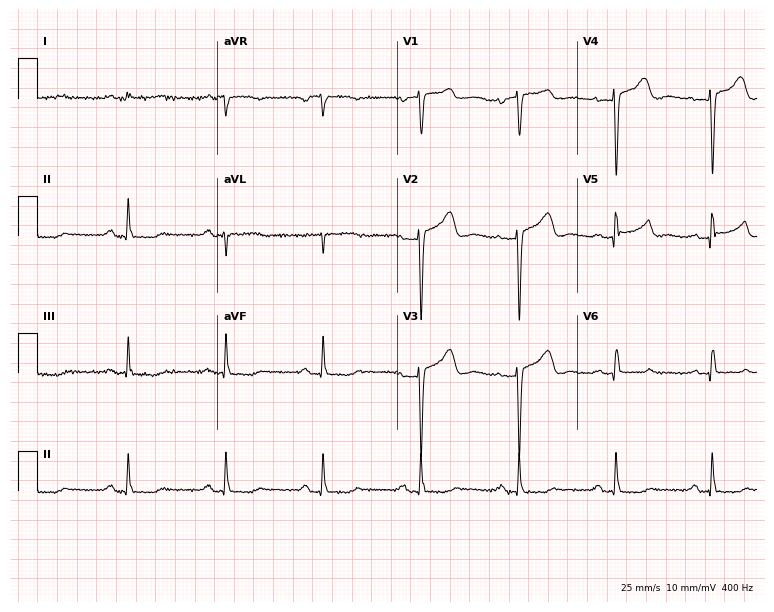
Resting 12-lead electrocardiogram (7.3-second recording at 400 Hz). Patient: a 60-year-old woman. None of these six findings is recorded: first-degree AV block, right bundle branch block, left bundle branch block, sinus bradycardia, atrial fibrillation, sinus tachycardia. Other findings, if any, are not listed.